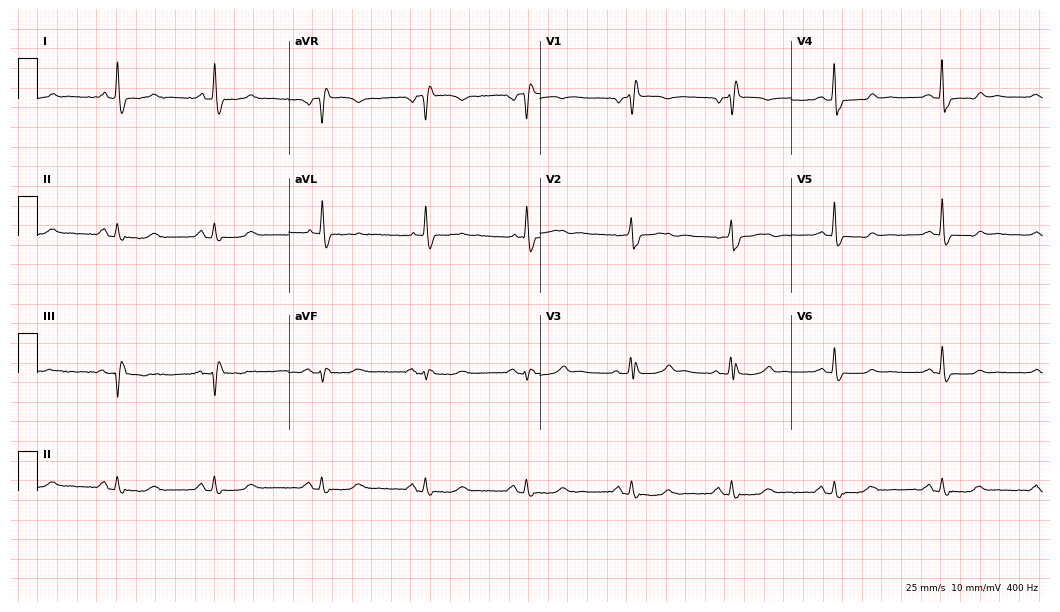
Standard 12-lead ECG recorded from a female patient, 76 years old. The tracing shows right bundle branch block (RBBB).